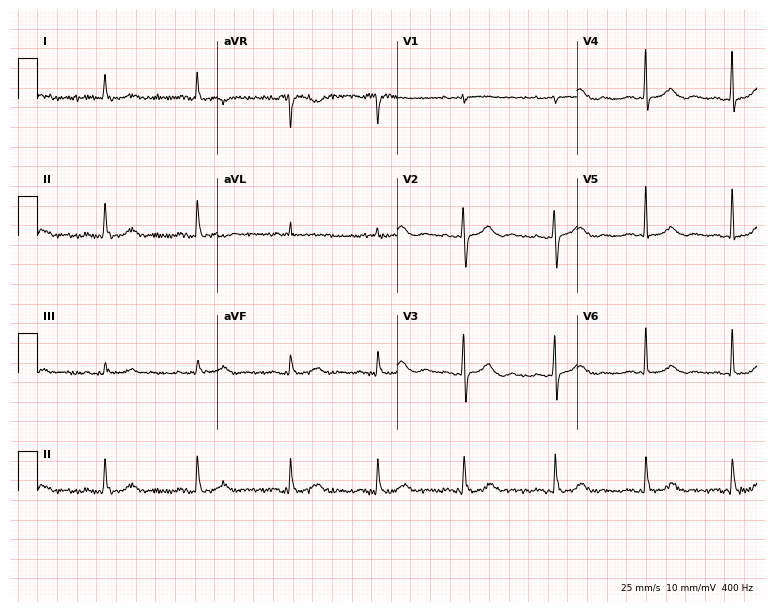
12-lead ECG from a 69-year-old woman (7.3-second recording at 400 Hz). No first-degree AV block, right bundle branch block, left bundle branch block, sinus bradycardia, atrial fibrillation or sinus tachycardia recorded for this tracing. Other findings, if any, are not listed.